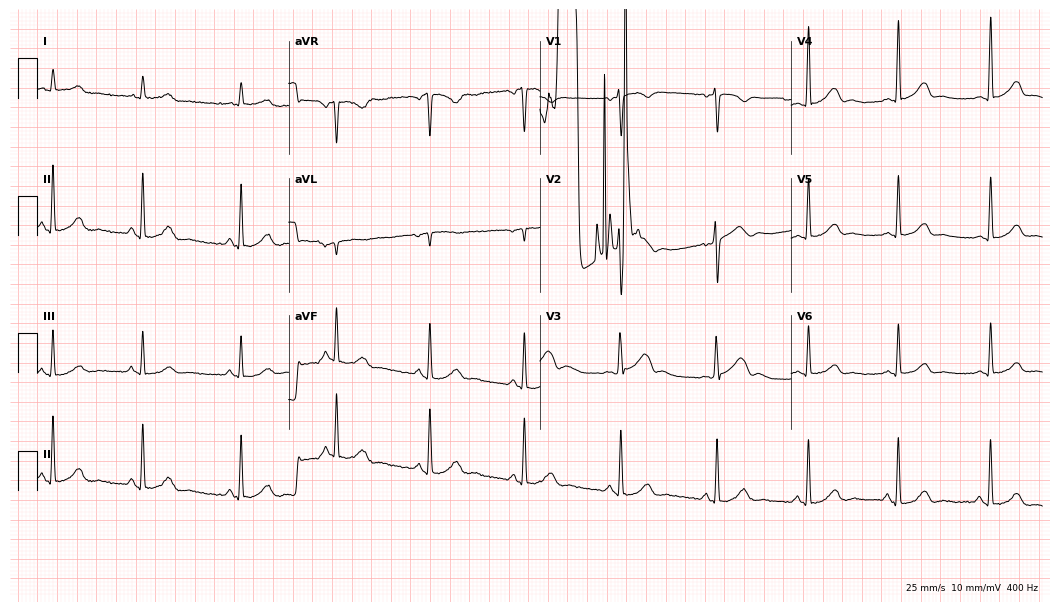
Standard 12-lead ECG recorded from a 42-year-old female. None of these six findings is recorded: first-degree AV block, right bundle branch block, left bundle branch block, sinus bradycardia, atrial fibrillation, sinus tachycardia.